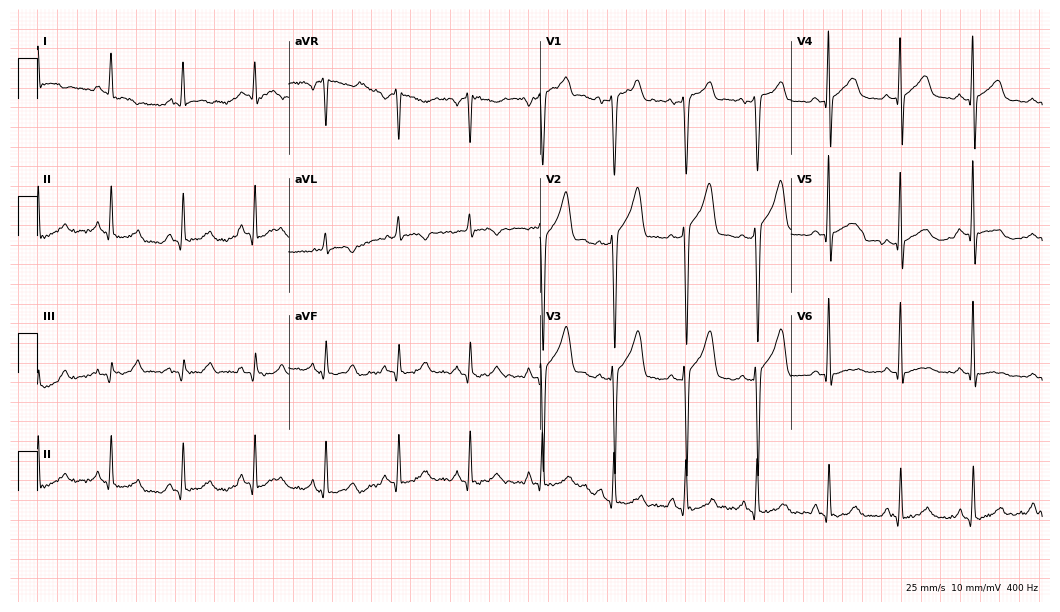
12-lead ECG from a man, 45 years old (10.2-second recording at 400 Hz). No first-degree AV block, right bundle branch block, left bundle branch block, sinus bradycardia, atrial fibrillation or sinus tachycardia recorded for this tracing. Findings outside these six are not listed.